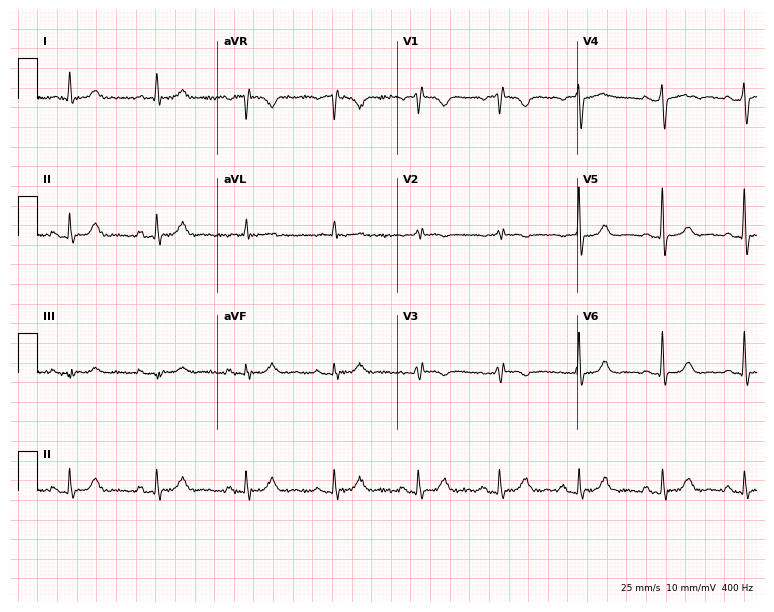
Resting 12-lead electrocardiogram. Patient: a woman, 60 years old. None of these six findings is recorded: first-degree AV block, right bundle branch block, left bundle branch block, sinus bradycardia, atrial fibrillation, sinus tachycardia.